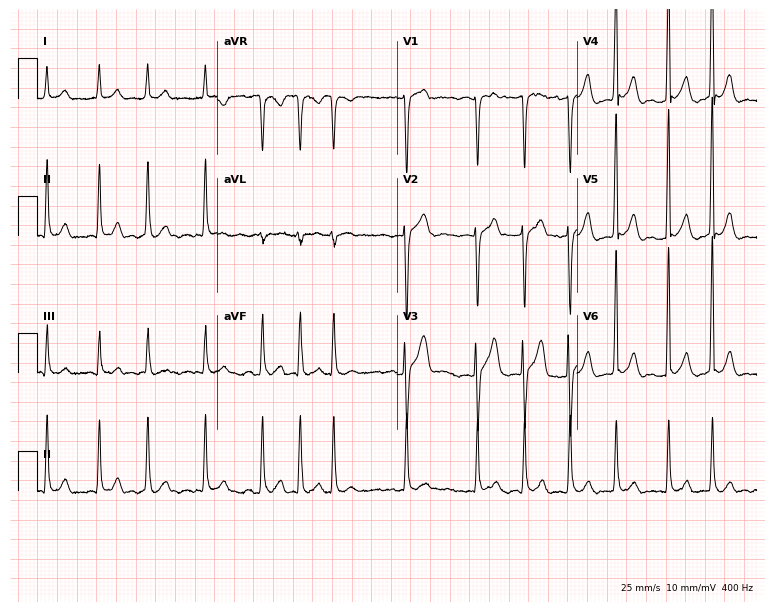
Resting 12-lead electrocardiogram (7.3-second recording at 400 Hz). Patient: a 39-year-old man. The tracing shows atrial fibrillation.